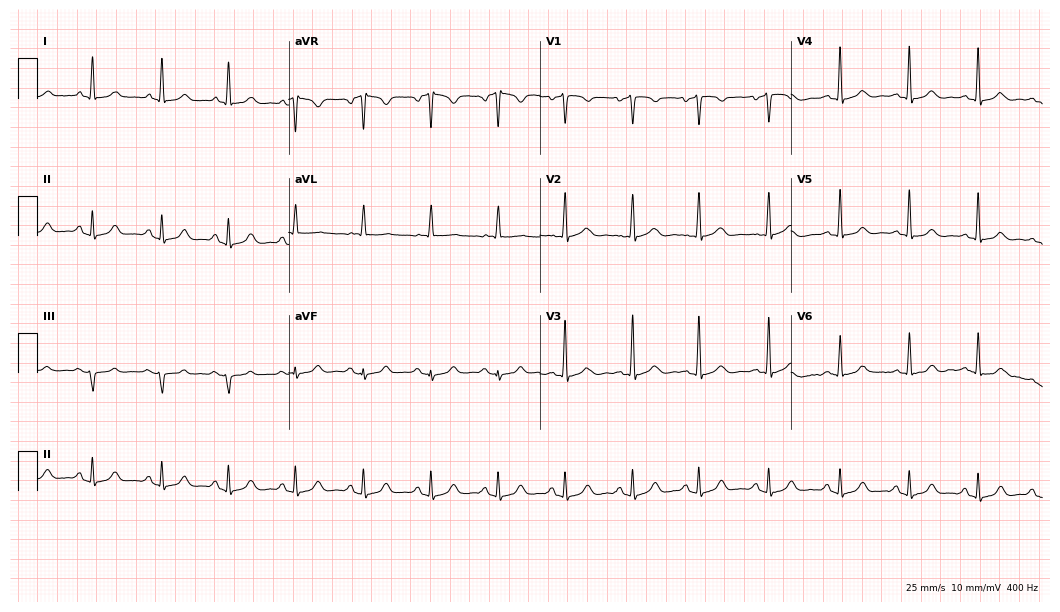
ECG — a woman, 66 years old. Labelled as a normal ECG.